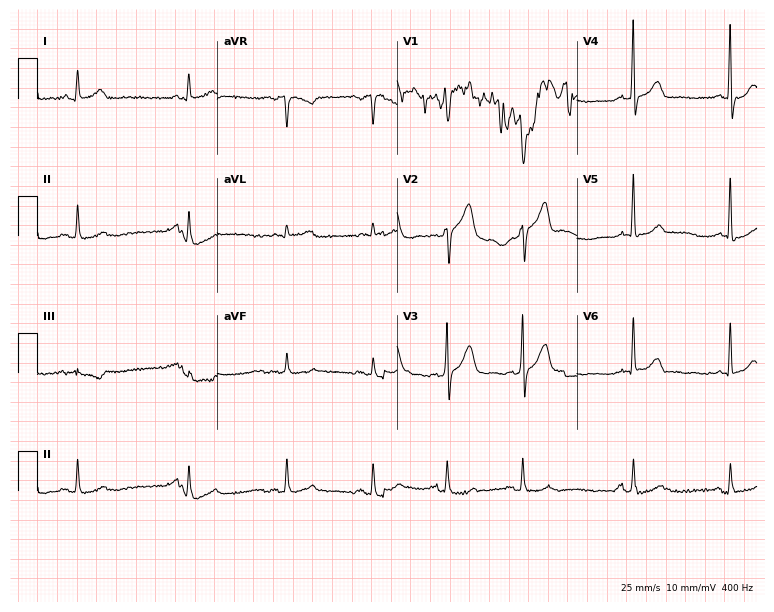
Standard 12-lead ECG recorded from a 71-year-old male patient (7.3-second recording at 400 Hz). None of these six findings is recorded: first-degree AV block, right bundle branch block (RBBB), left bundle branch block (LBBB), sinus bradycardia, atrial fibrillation (AF), sinus tachycardia. Other findings, if any, are not listed.